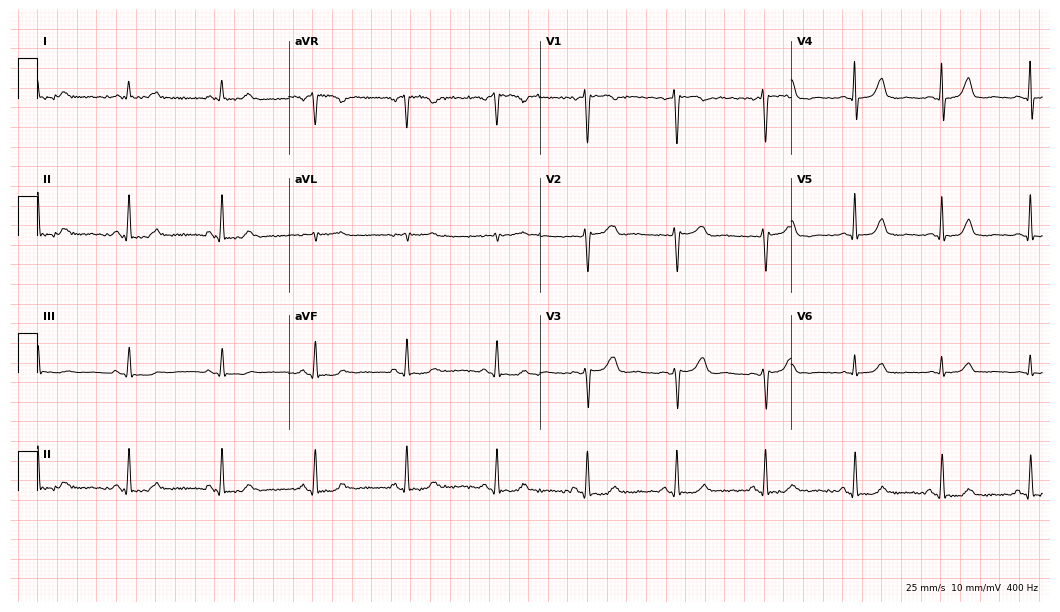
Resting 12-lead electrocardiogram. Patient: a 48-year-old woman. None of these six findings is recorded: first-degree AV block, right bundle branch block (RBBB), left bundle branch block (LBBB), sinus bradycardia, atrial fibrillation (AF), sinus tachycardia. Findings outside these six are not listed.